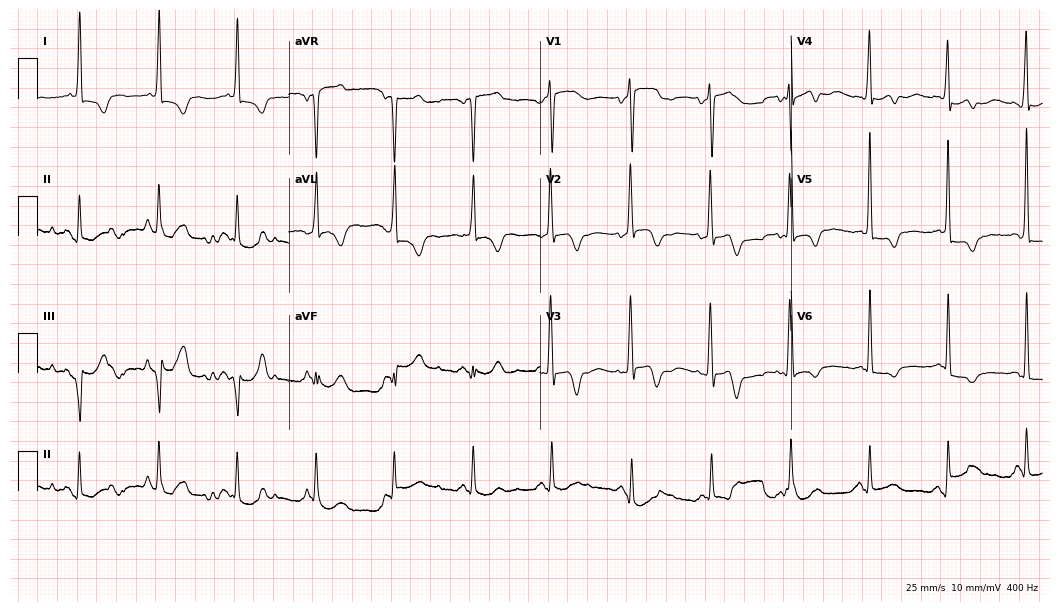
Electrocardiogram (10.2-second recording at 400 Hz), a female, 75 years old. Of the six screened findings (first-degree AV block, right bundle branch block (RBBB), left bundle branch block (LBBB), sinus bradycardia, atrial fibrillation (AF), sinus tachycardia), none is recorded.